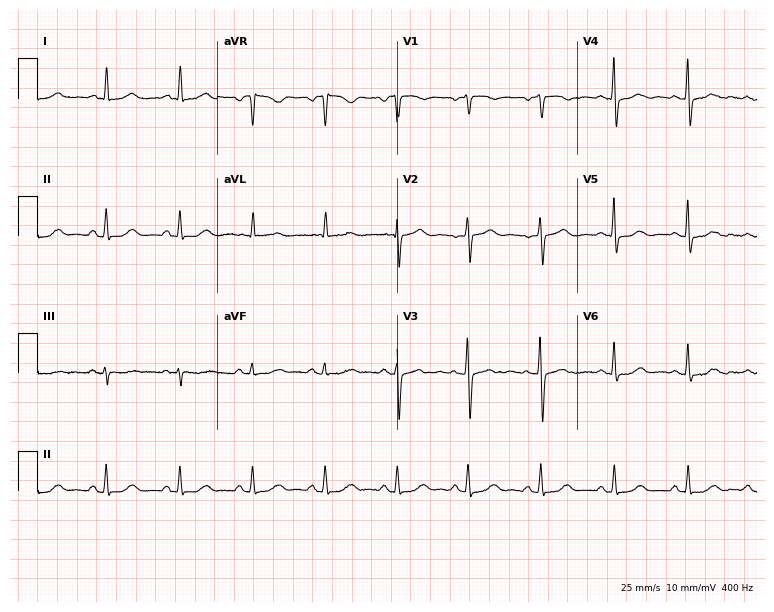
Resting 12-lead electrocardiogram. Patient: a woman, 66 years old. Read as a normal ECG.